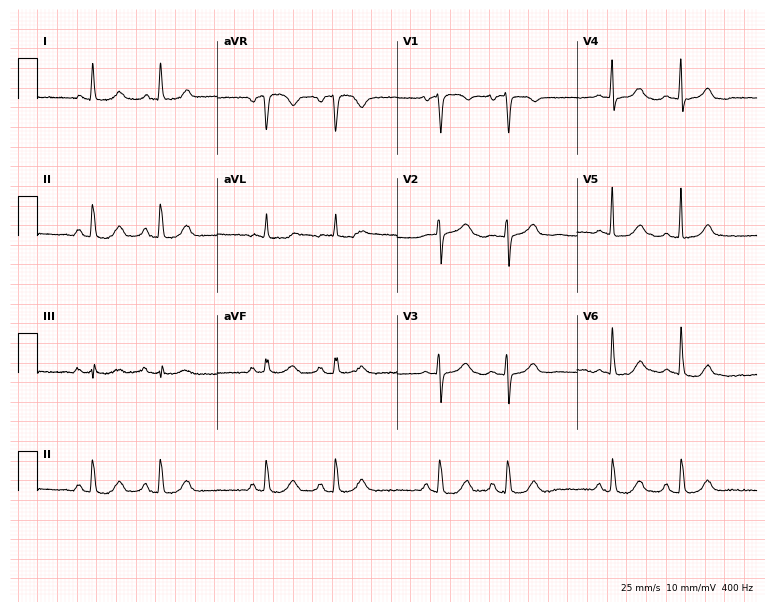
Standard 12-lead ECG recorded from a 77-year-old female. None of these six findings is recorded: first-degree AV block, right bundle branch block, left bundle branch block, sinus bradycardia, atrial fibrillation, sinus tachycardia. Findings outside these six are not listed.